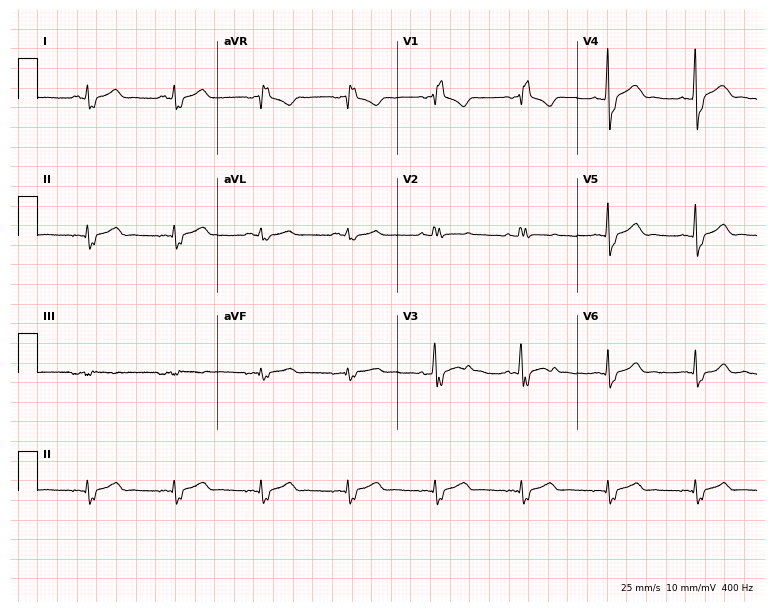
Standard 12-lead ECG recorded from a male, 45 years old. The tracing shows right bundle branch block.